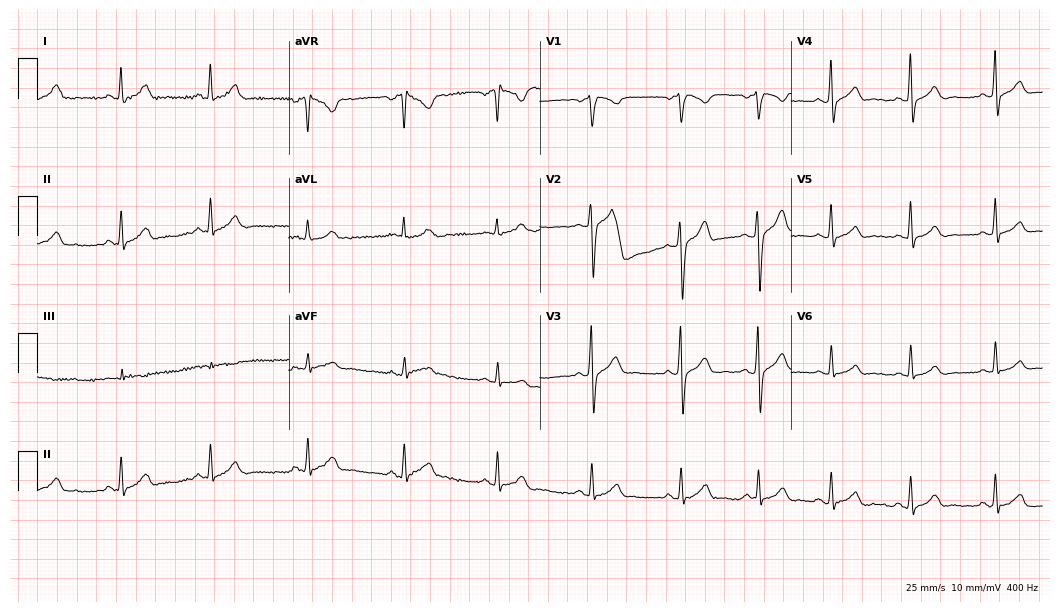
Resting 12-lead electrocardiogram. Patient: a 31-year-old male. Read as a normal ECG.